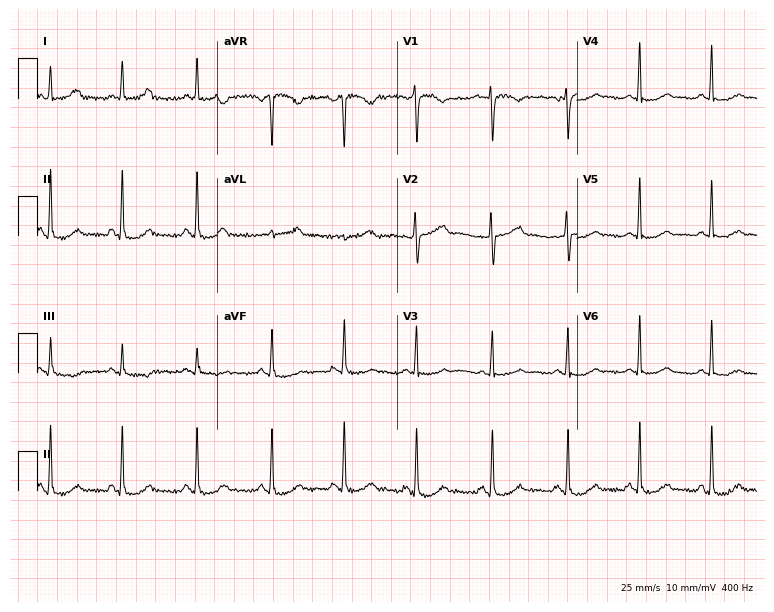
12-lead ECG from a 47-year-old woman. Recorded interpretation: within normal limits.